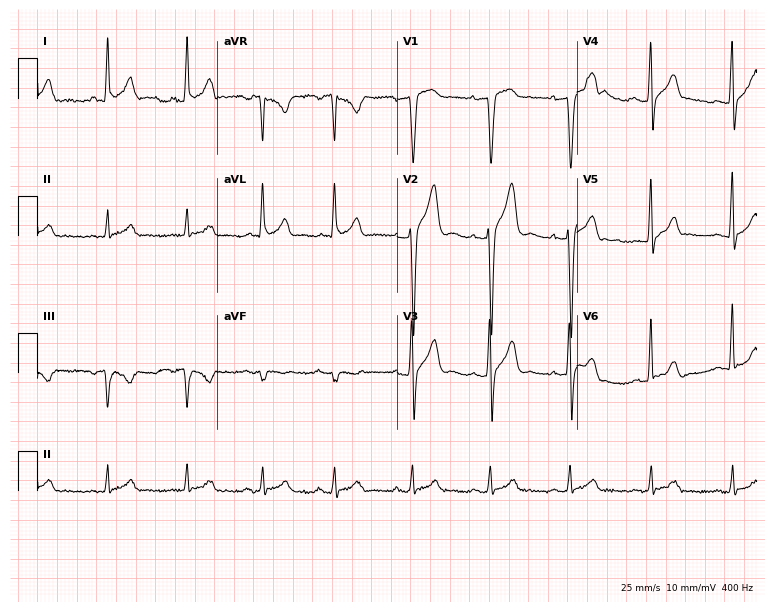
12-lead ECG (7.3-second recording at 400 Hz) from a 42-year-old male. Screened for six findings — first-degree AV block, right bundle branch block, left bundle branch block, sinus bradycardia, atrial fibrillation, sinus tachycardia — none is recorded.